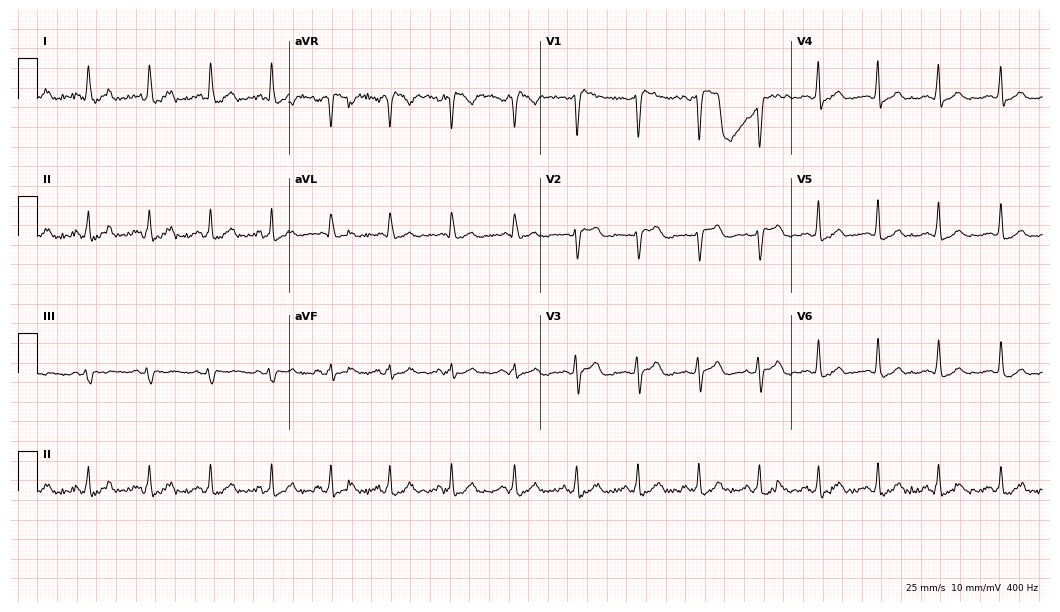
12-lead ECG from a female, 23 years old. No first-degree AV block, right bundle branch block (RBBB), left bundle branch block (LBBB), sinus bradycardia, atrial fibrillation (AF) or sinus tachycardia recorded for this tracing.